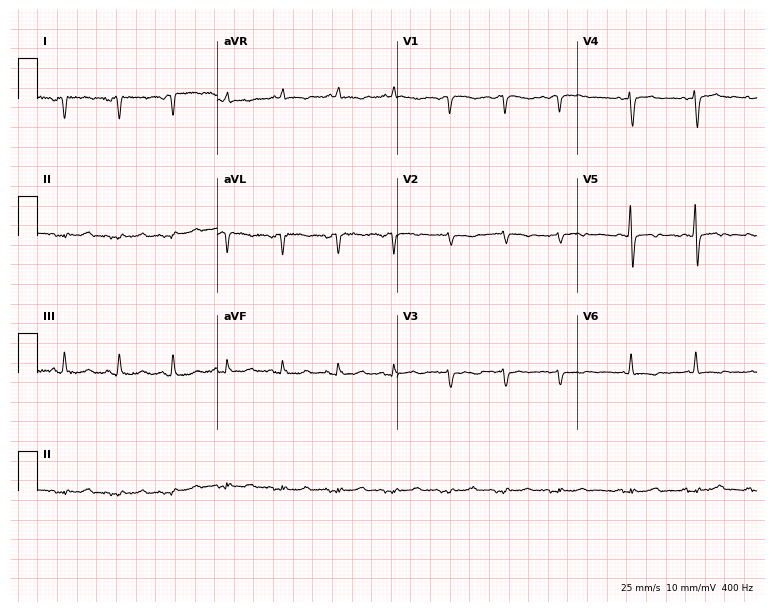
ECG — a female patient, 67 years old. Screened for six findings — first-degree AV block, right bundle branch block (RBBB), left bundle branch block (LBBB), sinus bradycardia, atrial fibrillation (AF), sinus tachycardia — none is recorded. Findings outside these six are not listed.